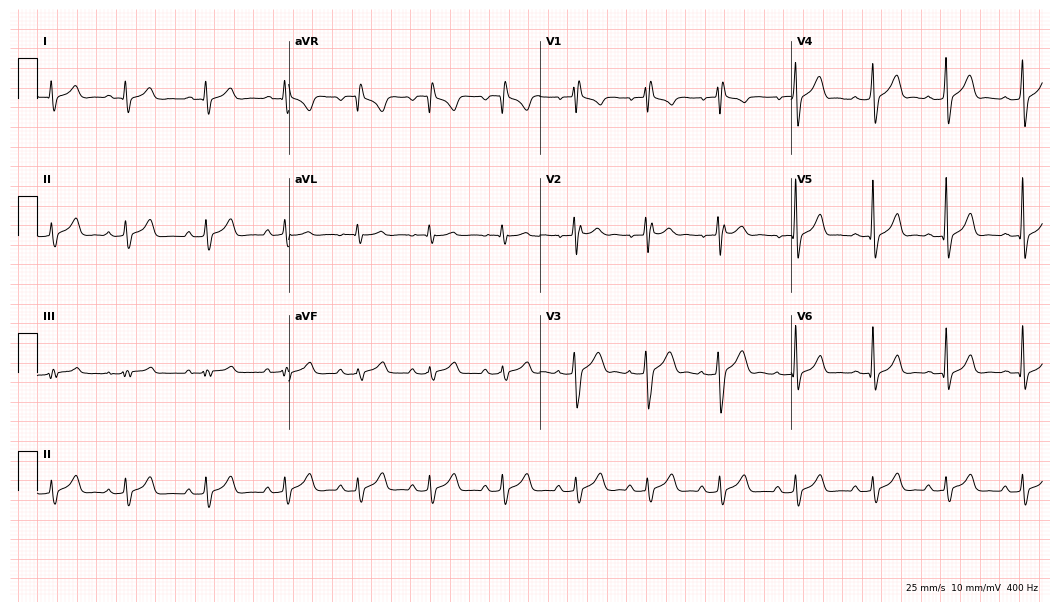
ECG — a male patient, 18 years old. Screened for six findings — first-degree AV block, right bundle branch block (RBBB), left bundle branch block (LBBB), sinus bradycardia, atrial fibrillation (AF), sinus tachycardia — none is recorded.